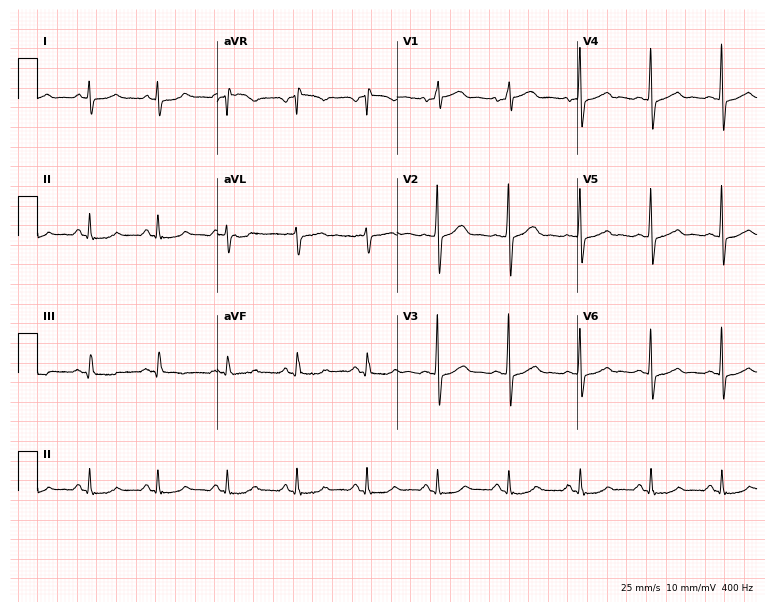
Standard 12-lead ECG recorded from a male patient, 60 years old. None of these six findings is recorded: first-degree AV block, right bundle branch block, left bundle branch block, sinus bradycardia, atrial fibrillation, sinus tachycardia. Findings outside these six are not listed.